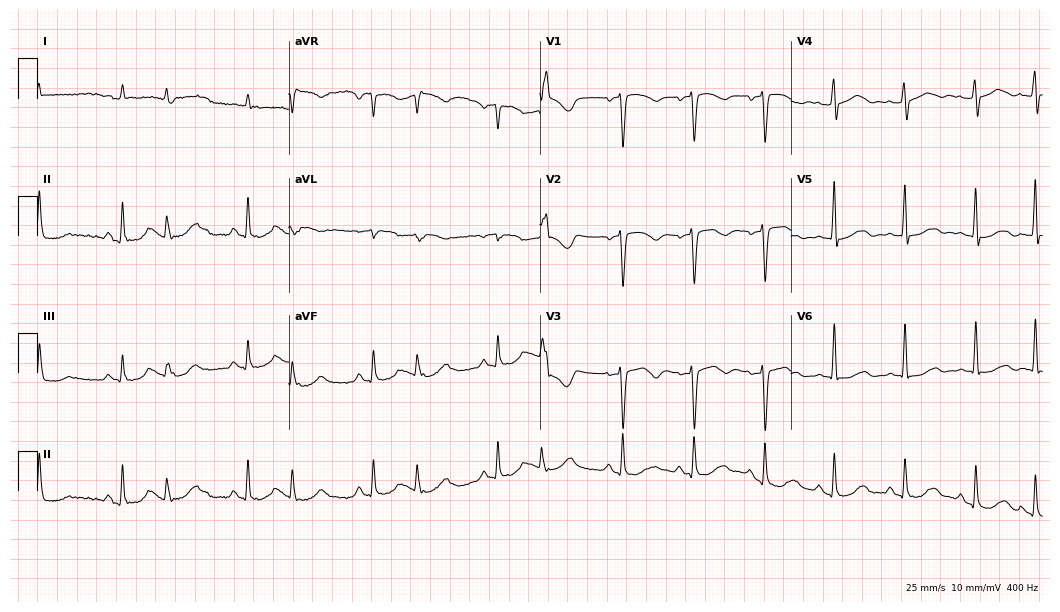
Standard 12-lead ECG recorded from an 85-year-old male patient. None of these six findings is recorded: first-degree AV block, right bundle branch block, left bundle branch block, sinus bradycardia, atrial fibrillation, sinus tachycardia. Findings outside these six are not listed.